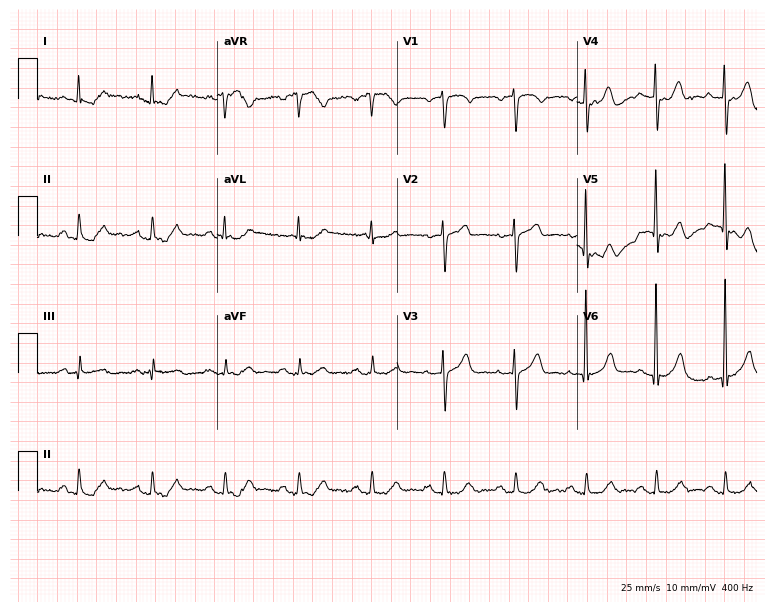
Resting 12-lead electrocardiogram. Patient: a 72-year-old man. None of these six findings is recorded: first-degree AV block, right bundle branch block, left bundle branch block, sinus bradycardia, atrial fibrillation, sinus tachycardia. Other findings, if any, are not listed.